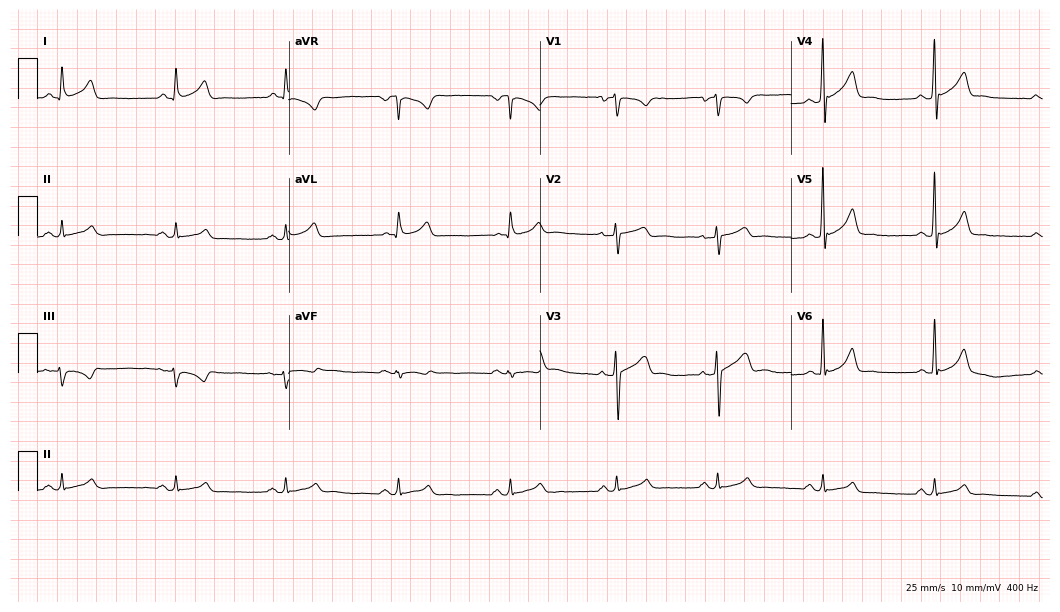
Standard 12-lead ECG recorded from a male, 32 years old (10.2-second recording at 400 Hz). Read as a normal ECG.